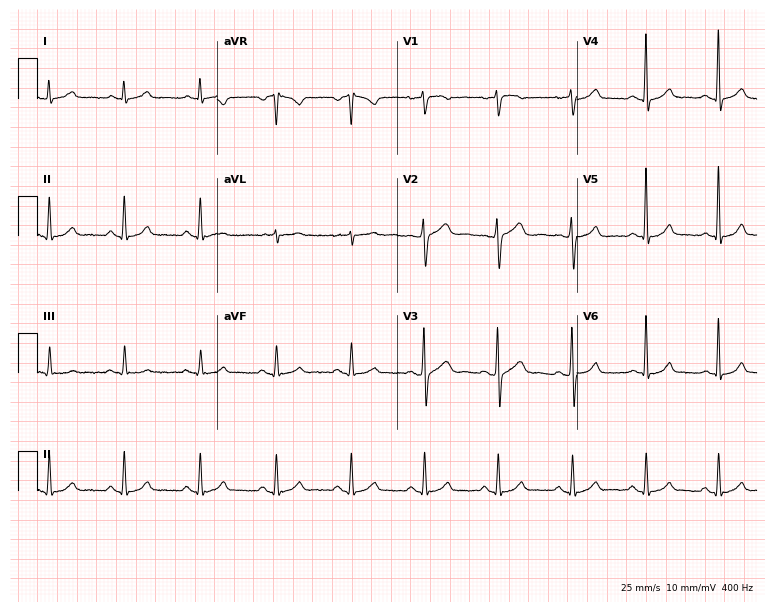
12-lead ECG from a 71-year-old man (7.3-second recording at 400 Hz). Recorded interpretation: within normal limits.